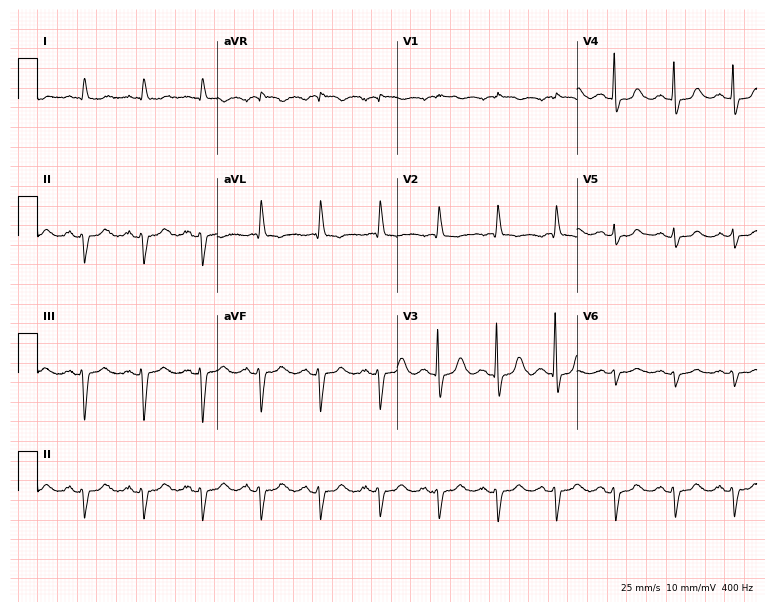
12-lead ECG from a woman, 84 years old. Screened for six findings — first-degree AV block, right bundle branch block (RBBB), left bundle branch block (LBBB), sinus bradycardia, atrial fibrillation (AF), sinus tachycardia — none is recorded.